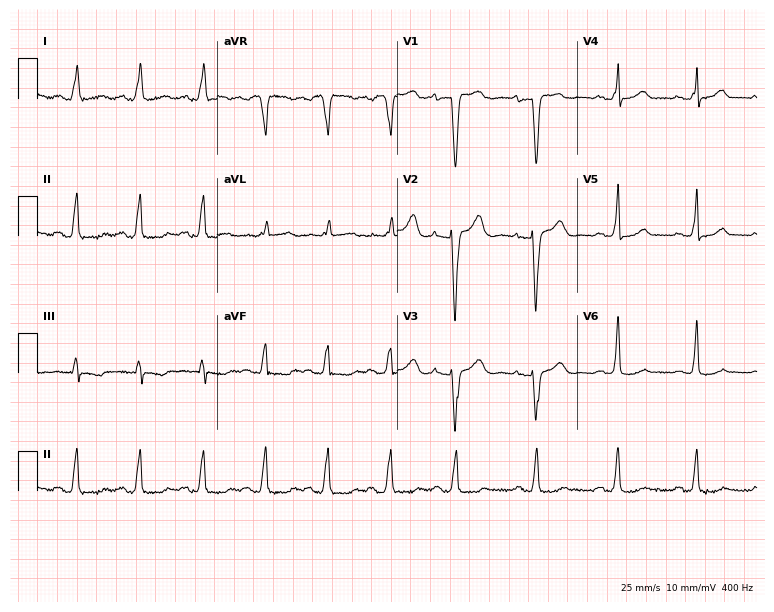
Standard 12-lead ECG recorded from a 74-year-old woman (7.3-second recording at 400 Hz). None of these six findings is recorded: first-degree AV block, right bundle branch block (RBBB), left bundle branch block (LBBB), sinus bradycardia, atrial fibrillation (AF), sinus tachycardia. Findings outside these six are not listed.